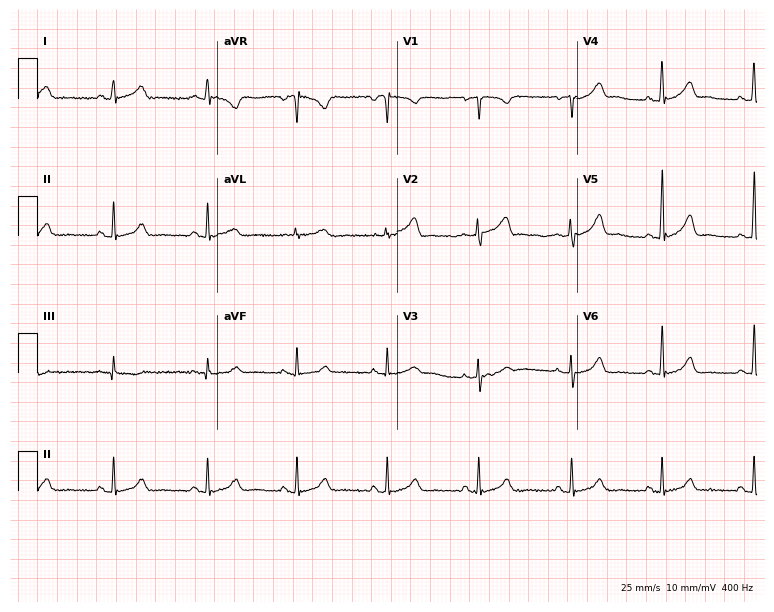
Electrocardiogram (7.3-second recording at 400 Hz), a female patient, 40 years old. Of the six screened findings (first-degree AV block, right bundle branch block, left bundle branch block, sinus bradycardia, atrial fibrillation, sinus tachycardia), none is recorded. Findings outside these six are not listed.